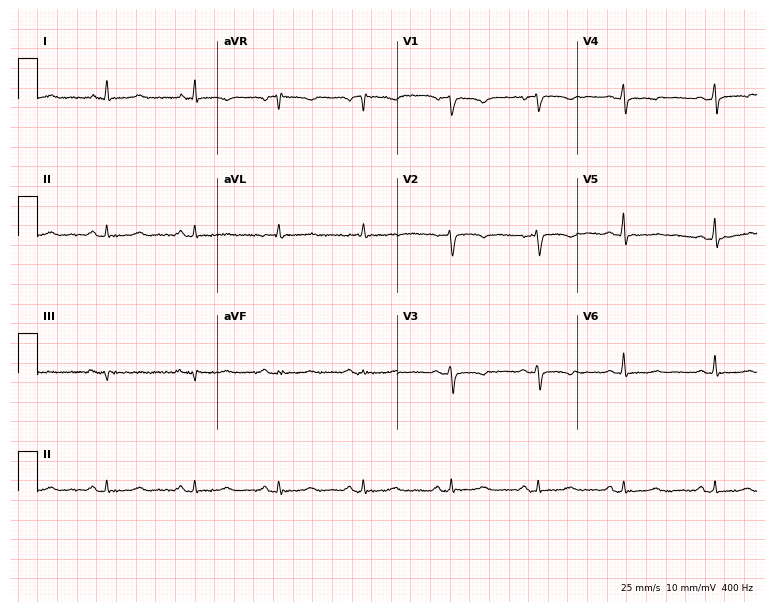
Standard 12-lead ECG recorded from a 45-year-old woman. None of these six findings is recorded: first-degree AV block, right bundle branch block (RBBB), left bundle branch block (LBBB), sinus bradycardia, atrial fibrillation (AF), sinus tachycardia.